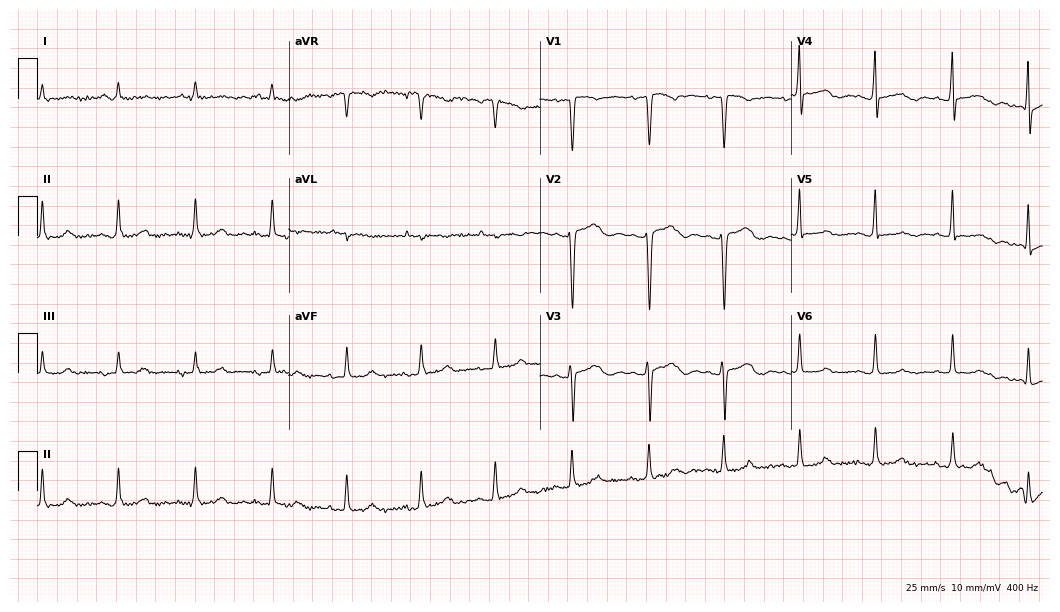
Resting 12-lead electrocardiogram (10.2-second recording at 400 Hz). Patient: a female, 81 years old. None of these six findings is recorded: first-degree AV block, right bundle branch block (RBBB), left bundle branch block (LBBB), sinus bradycardia, atrial fibrillation (AF), sinus tachycardia. Other findings, if any, are not listed.